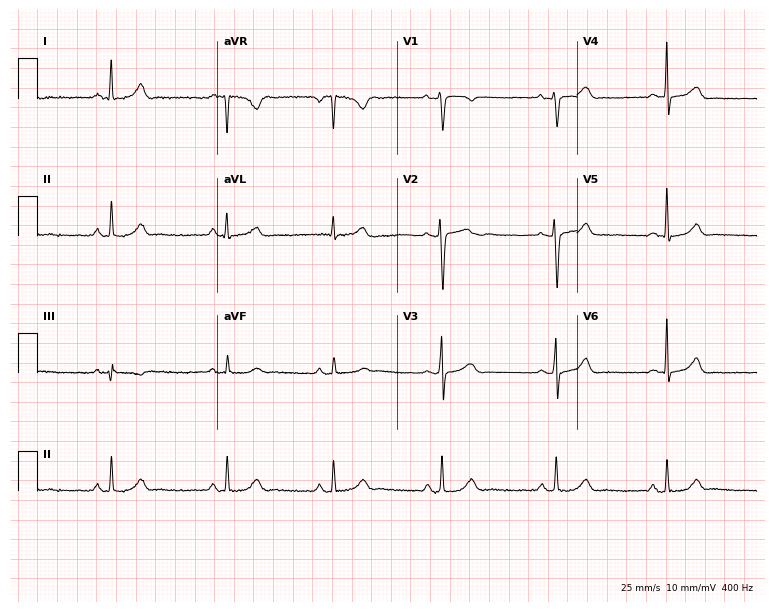
12-lead ECG from a 34-year-old female patient (7.3-second recording at 400 Hz). No first-degree AV block, right bundle branch block, left bundle branch block, sinus bradycardia, atrial fibrillation or sinus tachycardia recorded for this tracing.